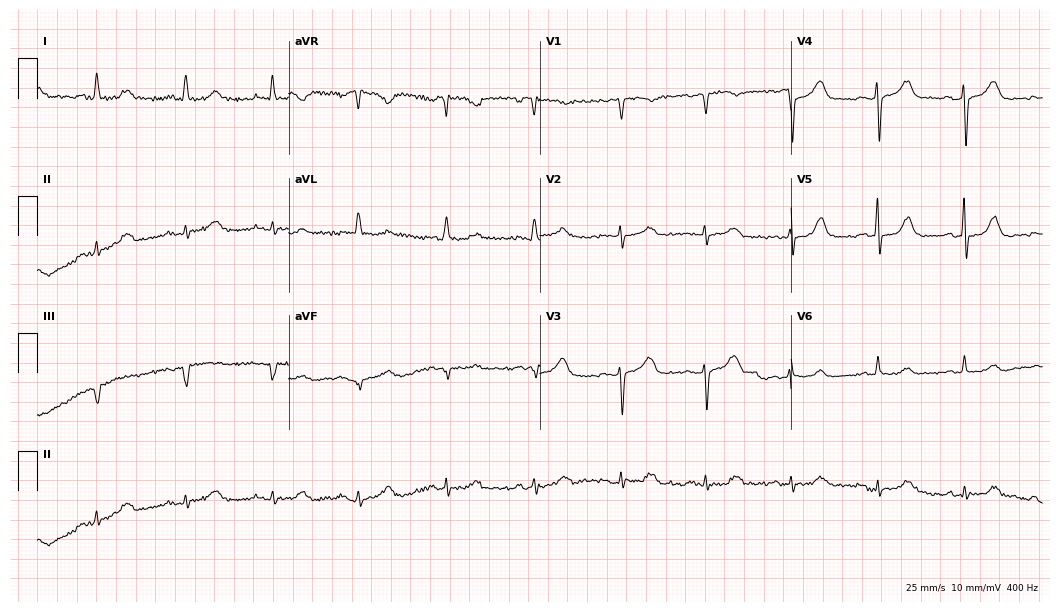
12-lead ECG (10.2-second recording at 400 Hz) from a 65-year-old female patient. Screened for six findings — first-degree AV block, right bundle branch block, left bundle branch block, sinus bradycardia, atrial fibrillation, sinus tachycardia — none is recorded. Only these six findings were labelled.